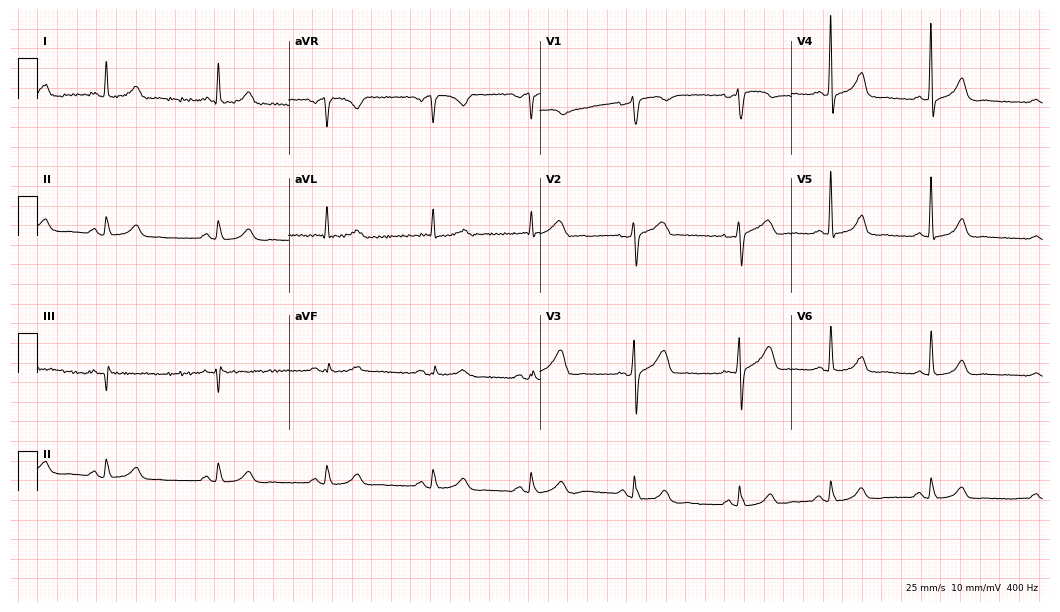
Resting 12-lead electrocardiogram (10.2-second recording at 400 Hz). Patient: a 73-year-old male. Read as a normal ECG.